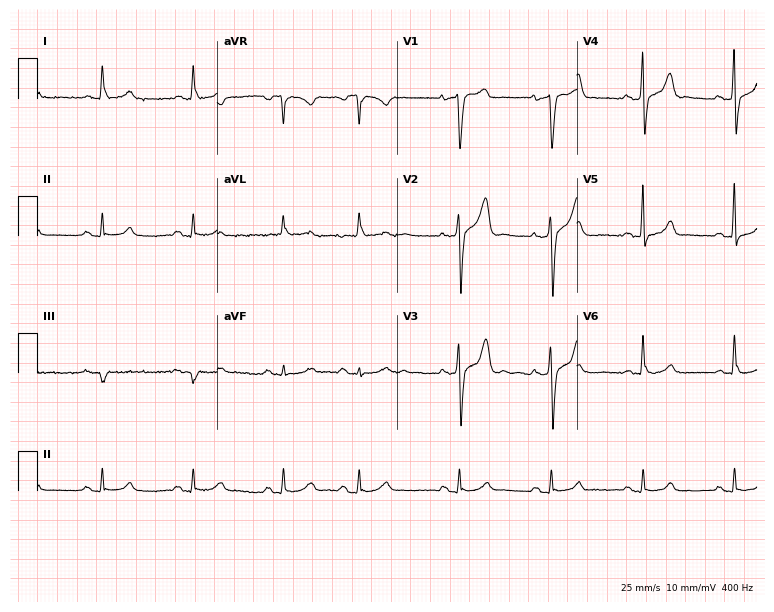
12-lead ECG from a 70-year-old male patient. Labelled as a normal ECG.